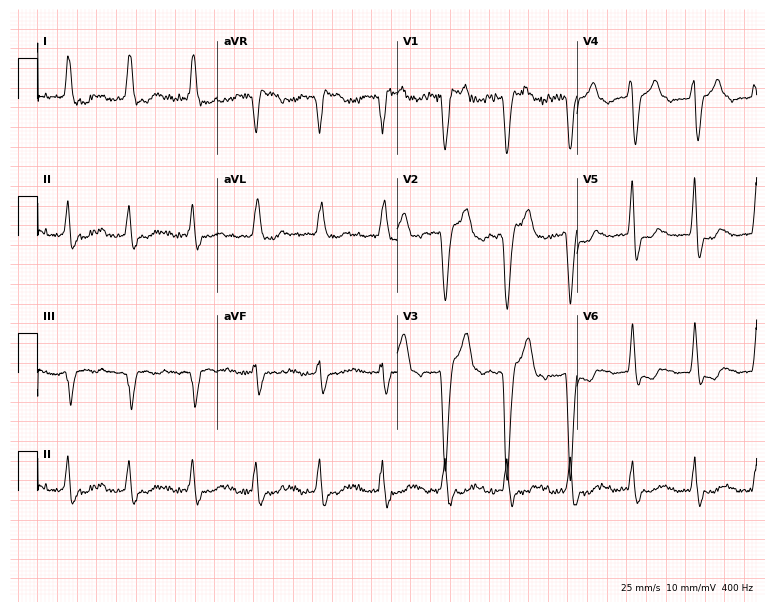
ECG — a man, 85 years old. Findings include left bundle branch block.